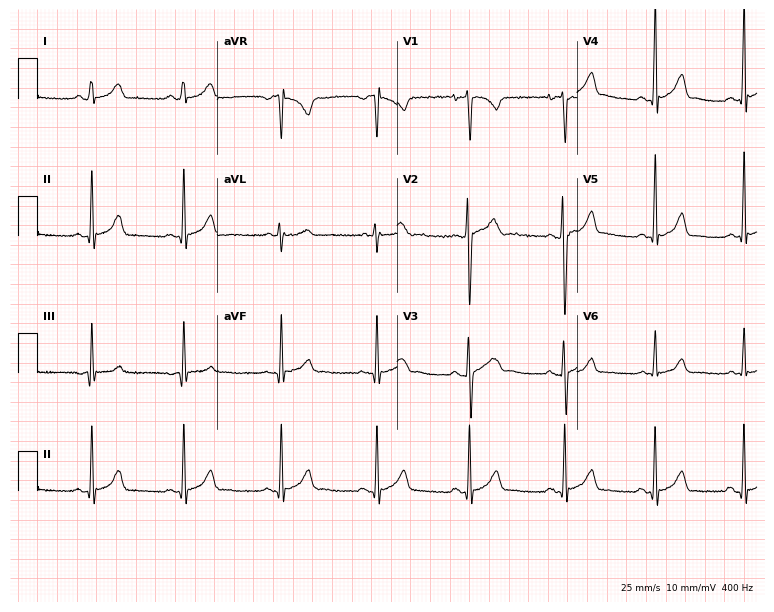
ECG (7.3-second recording at 400 Hz) — a male patient, 17 years old. Labelled as a normal ECG.